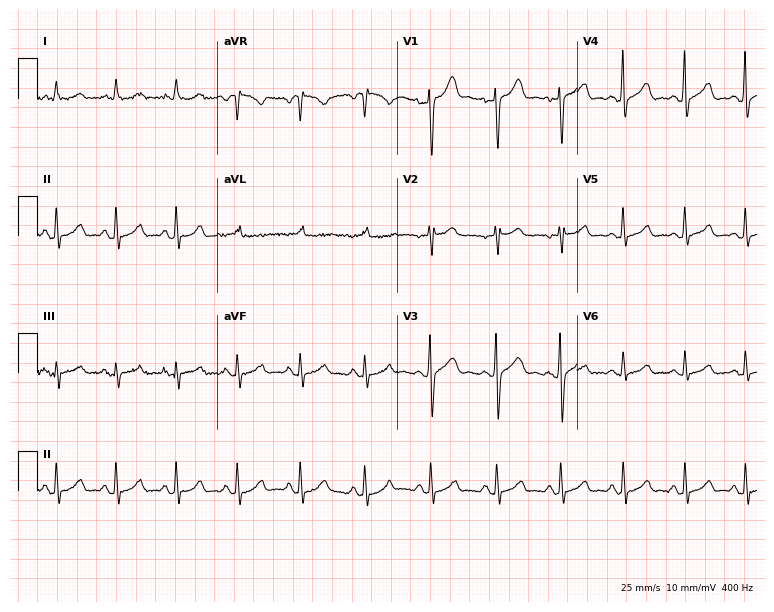
ECG (7.3-second recording at 400 Hz) — a male patient, 34 years old. Labelled as a normal ECG.